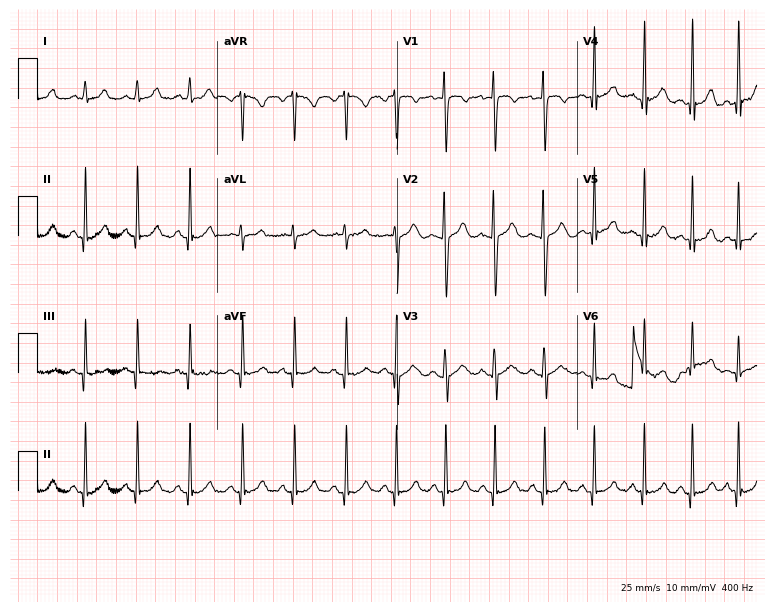
ECG (7.3-second recording at 400 Hz) — a female patient, 18 years old. Screened for six findings — first-degree AV block, right bundle branch block, left bundle branch block, sinus bradycardia, atrial fibrillation, sinus tachycardia — none is recorded. Only these six findings were labelled.